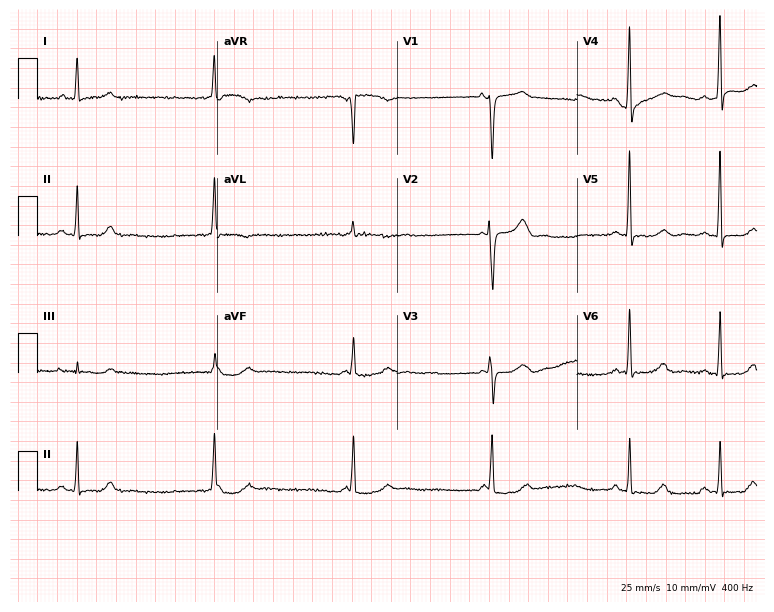
12-lead ECG from a female patient, 56 years old. No first-degree AV block, right bundle branch block (RBBB), left bundle branch block (LBBB), sinus bradycardia, atrial fibrillation (AF) or sinus tachycardia recorded for this tracing.